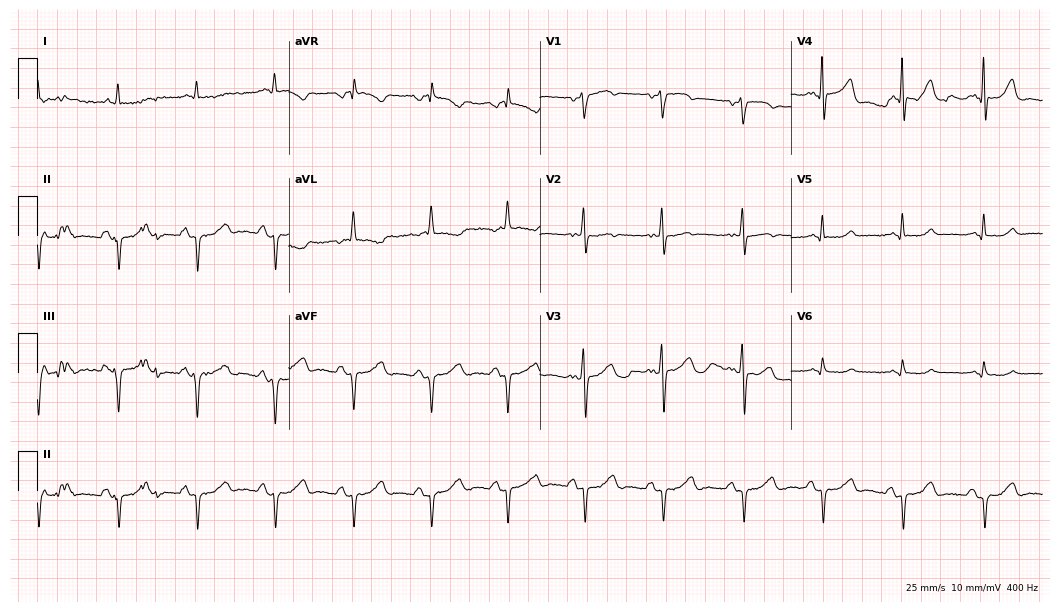
Electrocardiogram, a man, 48 years old. Of the six screened findings (first-degree AV block, right bundle branch block, left bundle branch block, sinus bradycardia, atrial fibrillation, sinus tachycardia), none is recorded. Other findings, if any, are not listed.